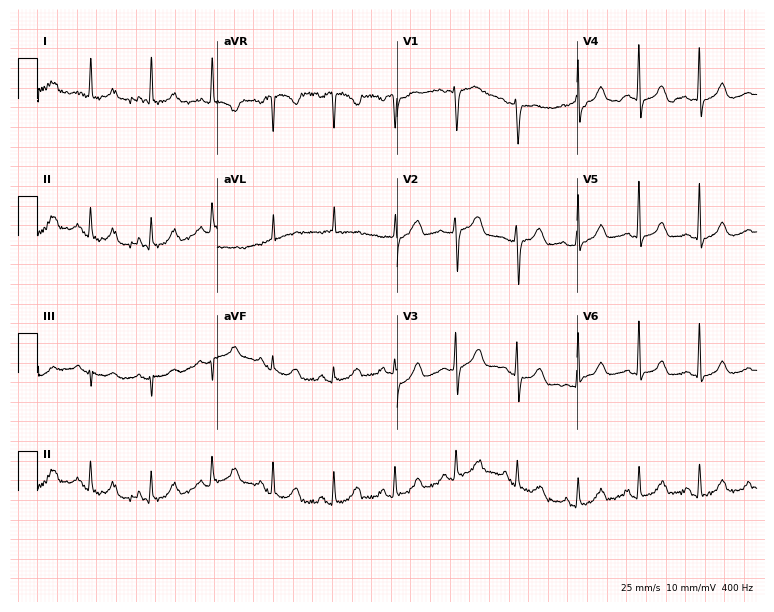
Electrocardiogram, a 78-year-old female patient. Overall reading on record: normal ECG.